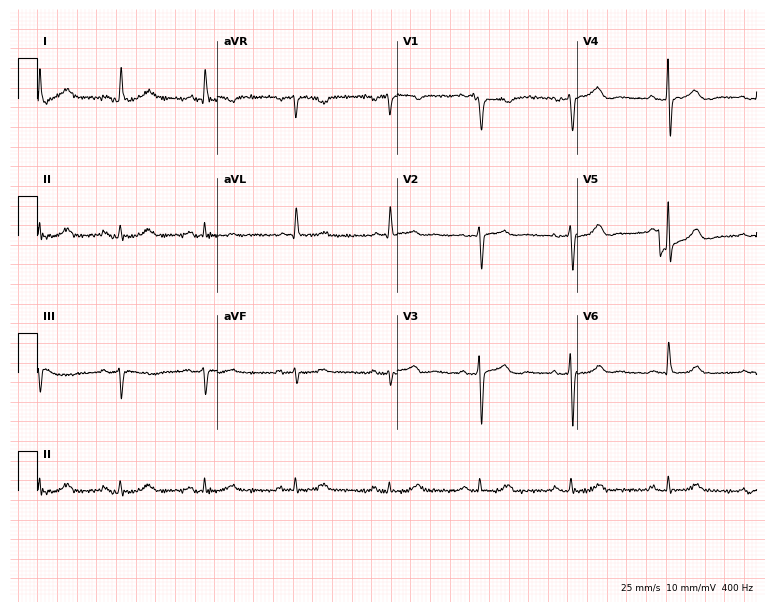
ECG (7.3-second recording at 400 Hz) — a female patient, 82 years old. Screened for six findings — first-degree AV block, right bundle branch block, left bundle branch block, sinus bradycardia, atrial fibrillation, sinus tachycardia — none is recorded. Only these six findings were labelled.